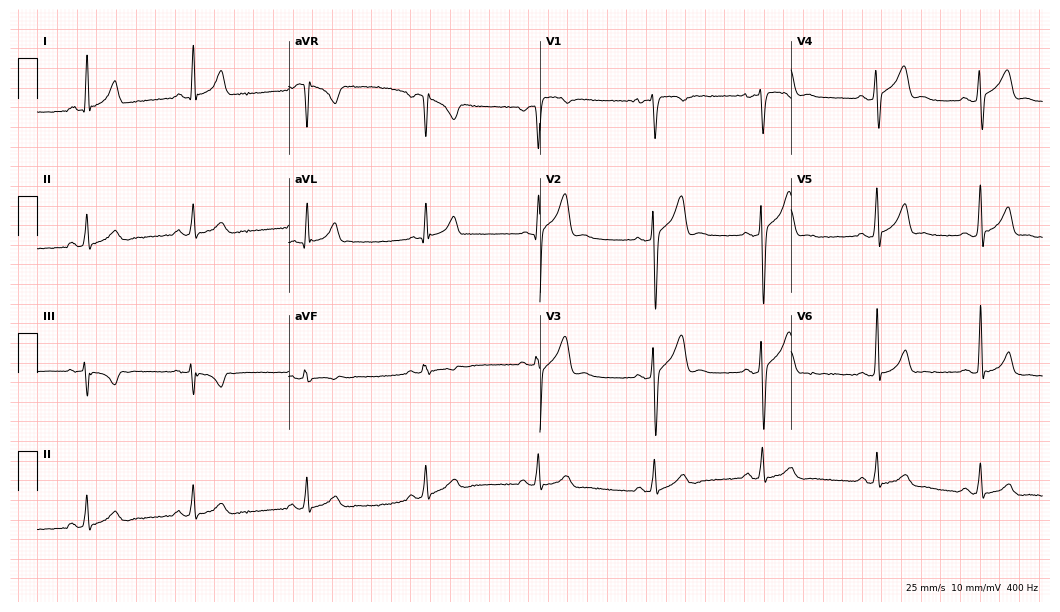
12-lead ECG from a male, 30 years old. Screened for six findings — first-degree AV block, right bundle branch block, left bundle branch block, sinus bradycardia, atrial fibrillation, sinus tachycardia — none is recorded. Findings outside these six are not listed.